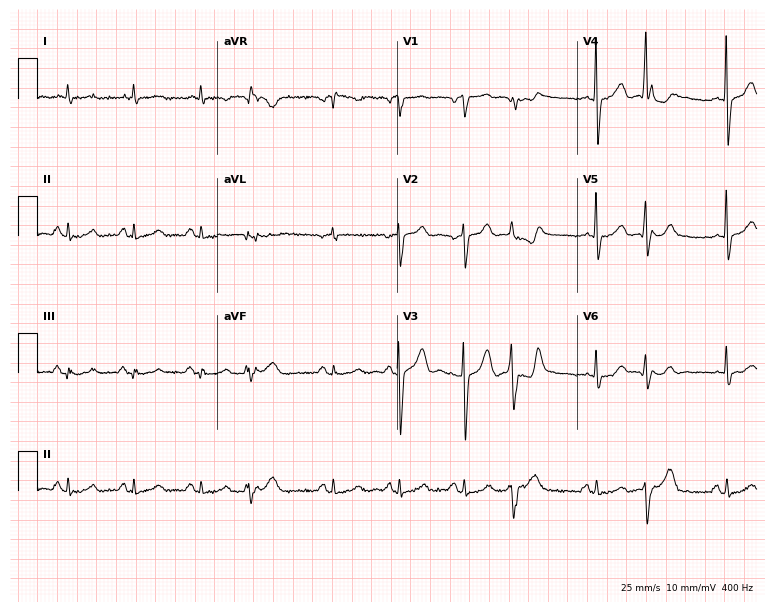
12-lead ECG from a 73-year-old male. Screened for six findings — first-degree AV block, right bundle branch block, left bundle branch block, sinus bradycardia, atrial fibrillation, sinus tachycardia — none is recorded. Findings outside these six are not listed.